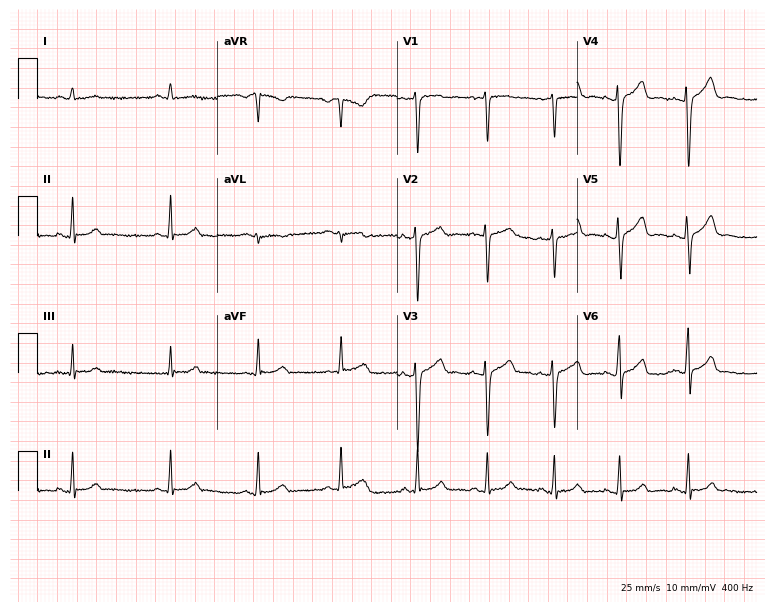
Electrocardiogram (7.3-second recording at 400 Hz), a 31-year-old female patient. Of the six screened findings (first-degree AV block, right bundle branch block (RBBB), left bundle branch block (LBBB), sinus bradycardia, atrial fibrillation (AF), sinus tachycardia), none is recorded.